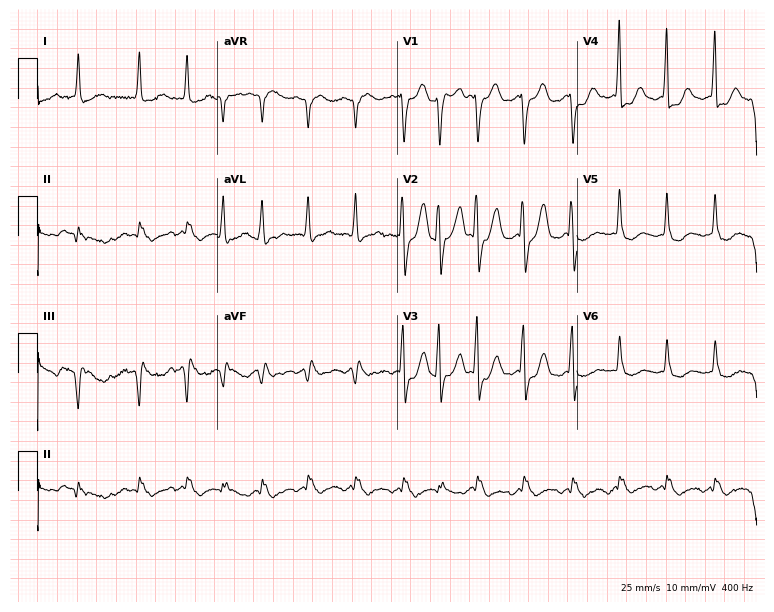
12-lead ECG from a male patient, 75 years old. Shows atrial fibrillation.